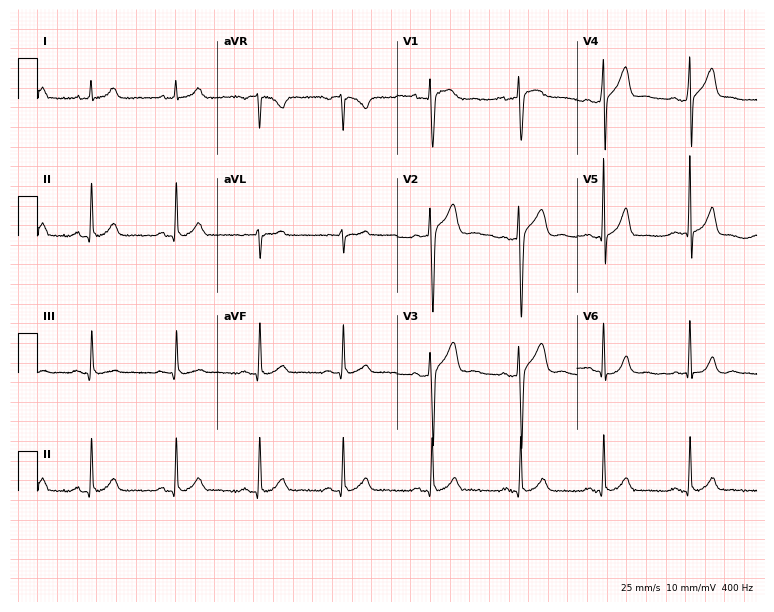
Standard 12-lead ECG recorded from a man, 23 years old (7.3-second recording at 400 Hz). Read as a normal ECG.